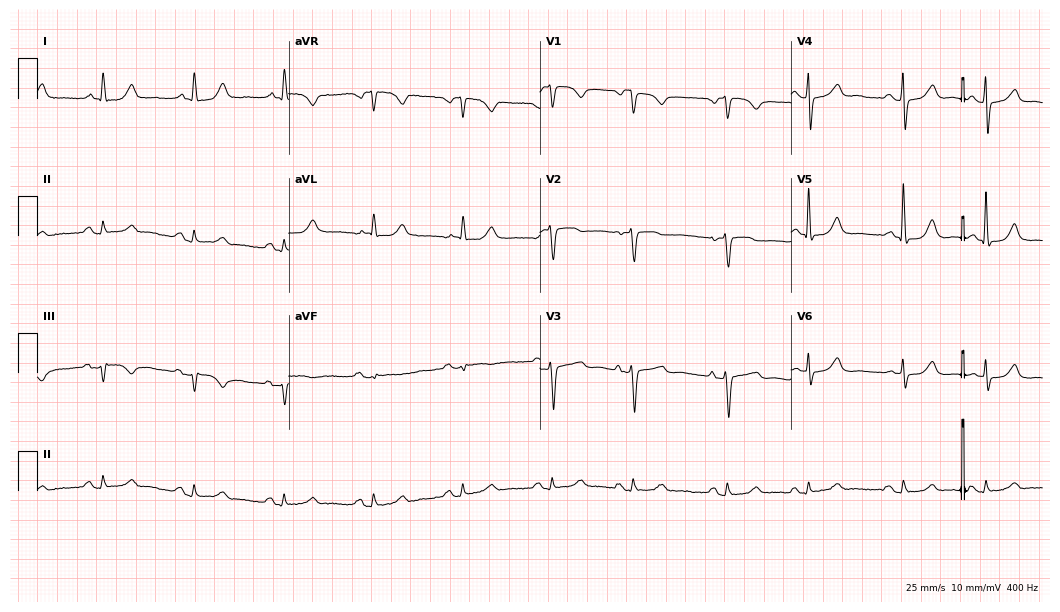
12-lead ECG from a female patient, 75 years old (10.2-second recording at 400 Hz). Recorded interpretation: within normal limits.